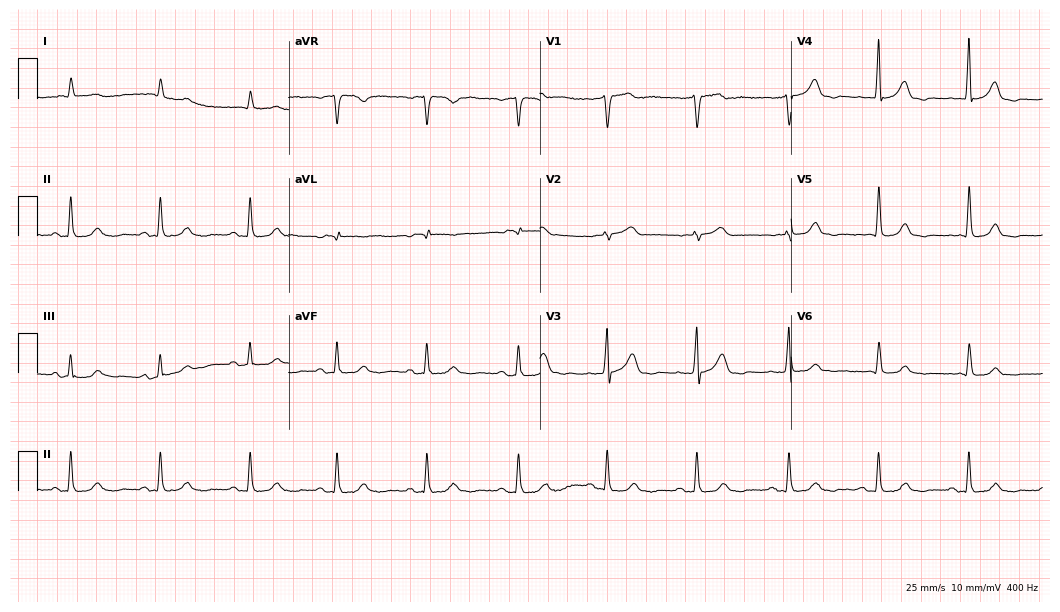
ECG — a male patient, 76 years old. Labelled as a normal ECG.